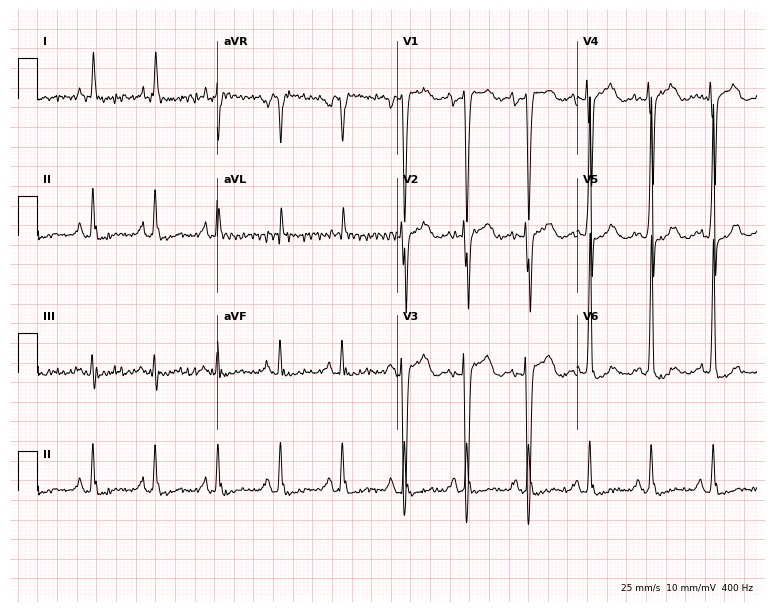
Standard 12-lead ECG recorded from a 77-year-old man. None of these six findings is recorded: first-degree AV block, right bundle branch block (RBBB), left bundle branch block (LBBB), sinus bradycardia, atrial fibrillation (AF), sinus tachycardia.